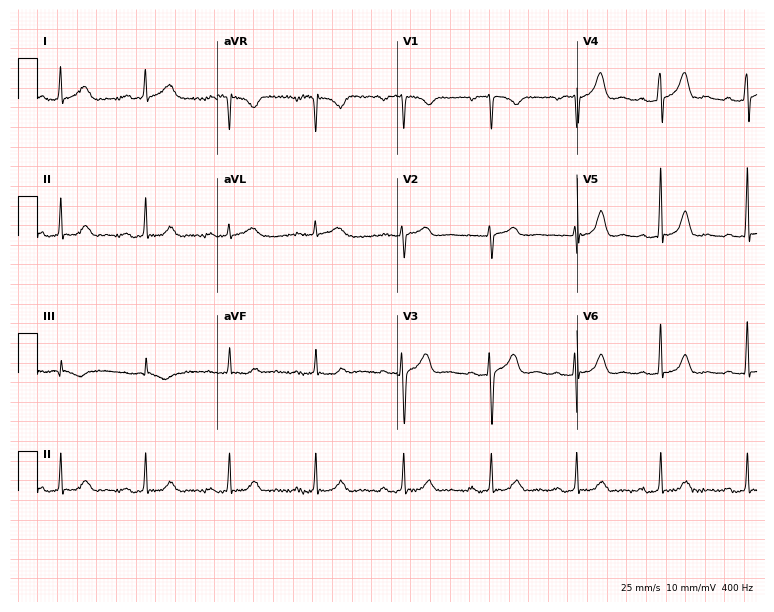
Electrocardiogram (7.3-second recording at 400 Hz), a woman, 36 years old. Interpretation includes first-degree AV block.